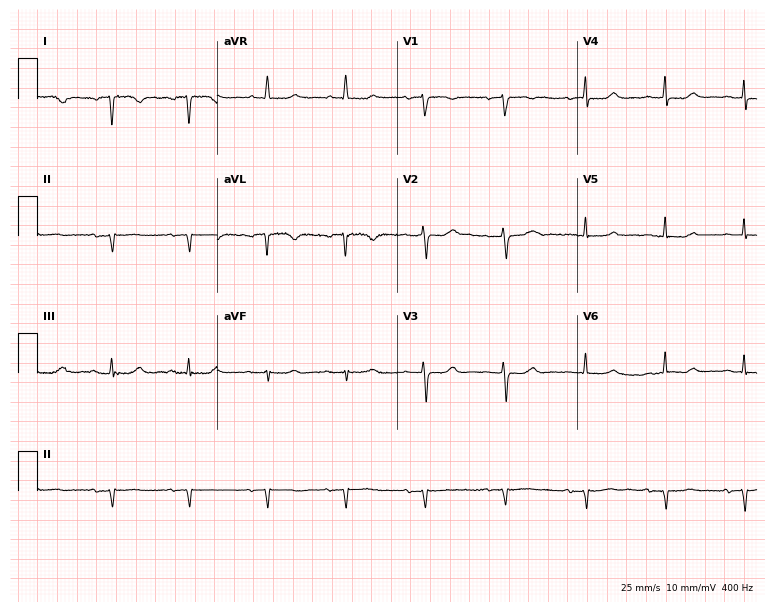
12-lead ECG (7.3-second recording at 400 Hz) from a female, 85 years old. Screened for six findings — first-degree AV block, right bundle branch block, left bundle branch block, sinus bradycardia, atrial fibrillation, sinus tachycardia — none is recorded. Other findings, if any, are not listed.